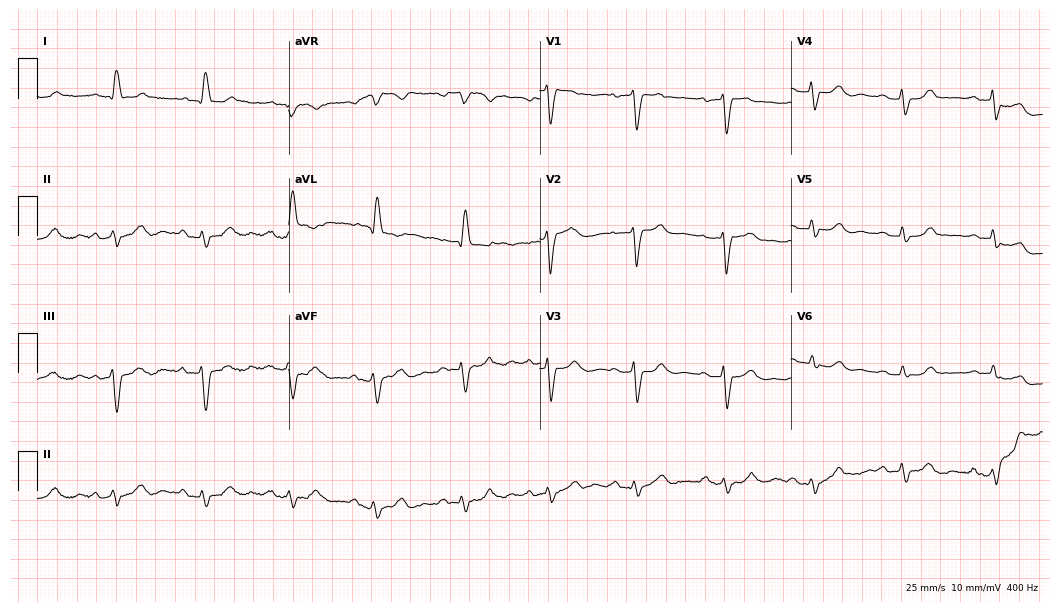
Electrocardiogram (10.2-second recording at 400 Hz), a 78-year-old woman. Of the six screened findings (first-degree AV block, right bundle branch block (RBBB), left bundle branch block (LBBB), sinus bradycardia, atrial fibrillation (AF), sinus tachycardia), none is recorded.